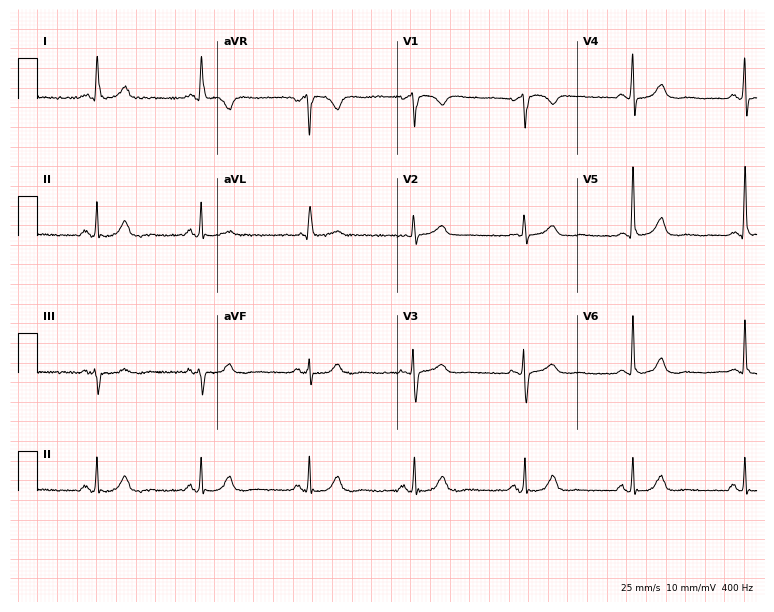
Resting 12-lead electrocardiogram (7.3-second recording at 400 Hz). Patient: a woman, 75 years old. Read as a normal ECG.